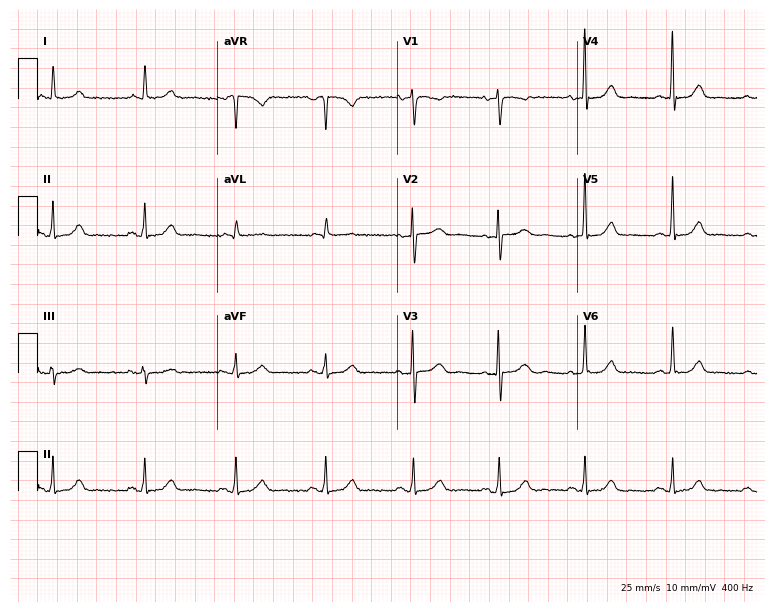
12-lead ECG from a 61-year-old woman. Labelled as a normal ECG.